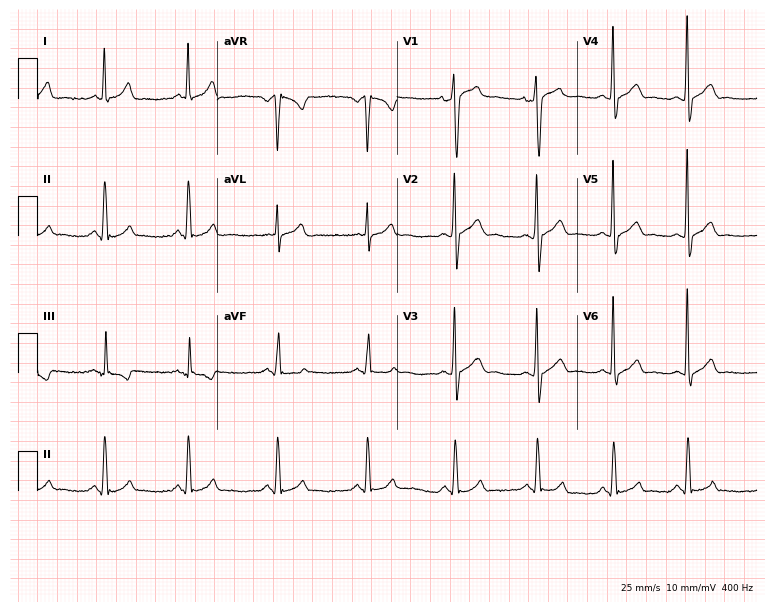
Electrocardiogram (7.3-second recording at 400 Hz), a man, 42 years old. Overall reading on record: normal ECG.